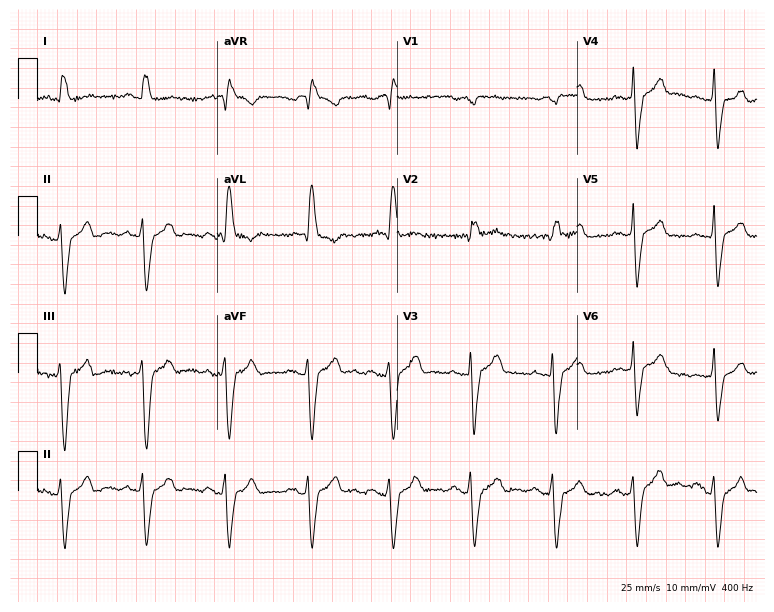
12-lead ECG (7.3-second recording at 400 Hz) from a 76-year-old man. Findings include left bundle branch block.